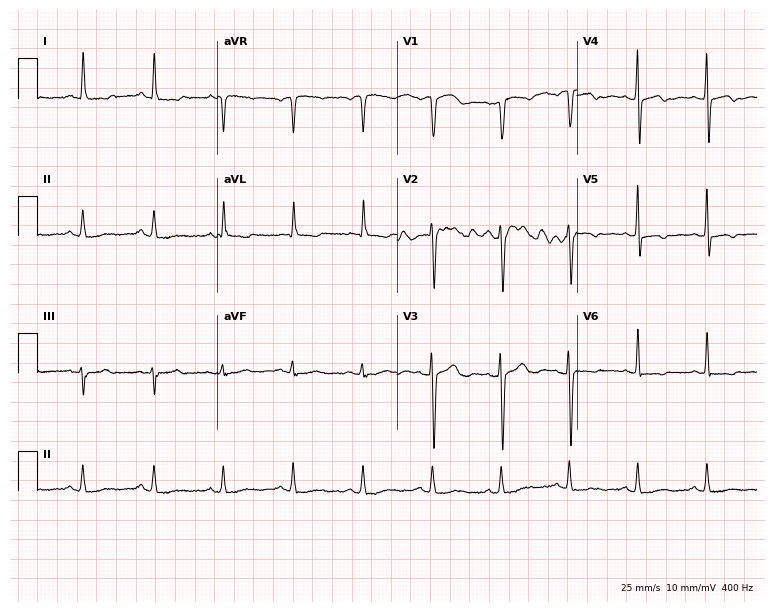
12-lead ECG (7.3-second recording at 400 Hz) from a 53-year-old female patient. Screened for six findings — first-degree AV block, right bundle branch block, left bundle branch block, sinus bradycardia, atrial fibrillation, sinus tachycardia — none is recorded.